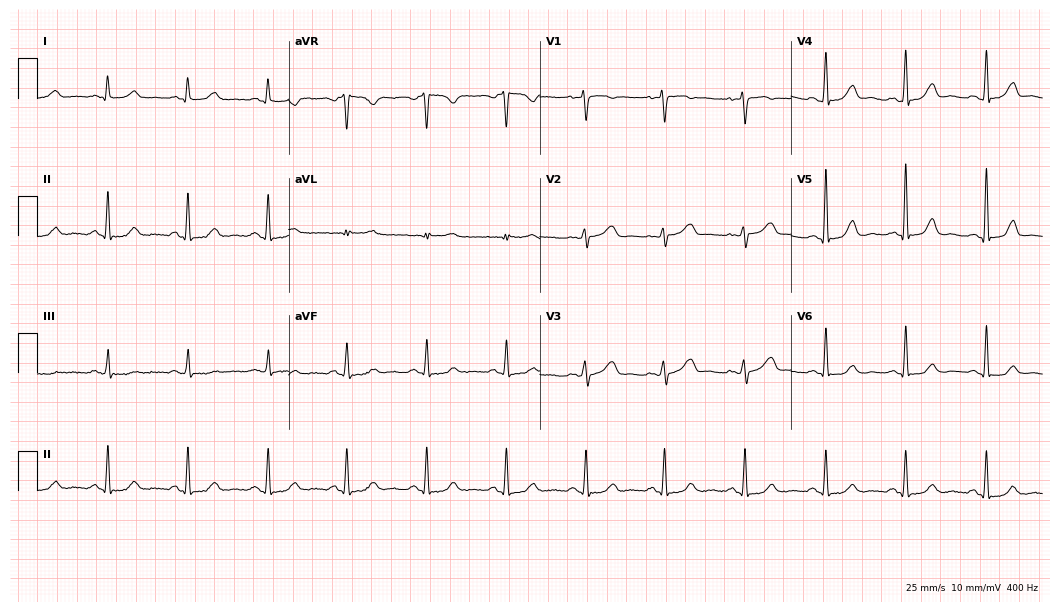
Electrocardiogram (10.2-second recording at 400 Hz), a woman, 61 years old. Overall reading on record: normal ECG.